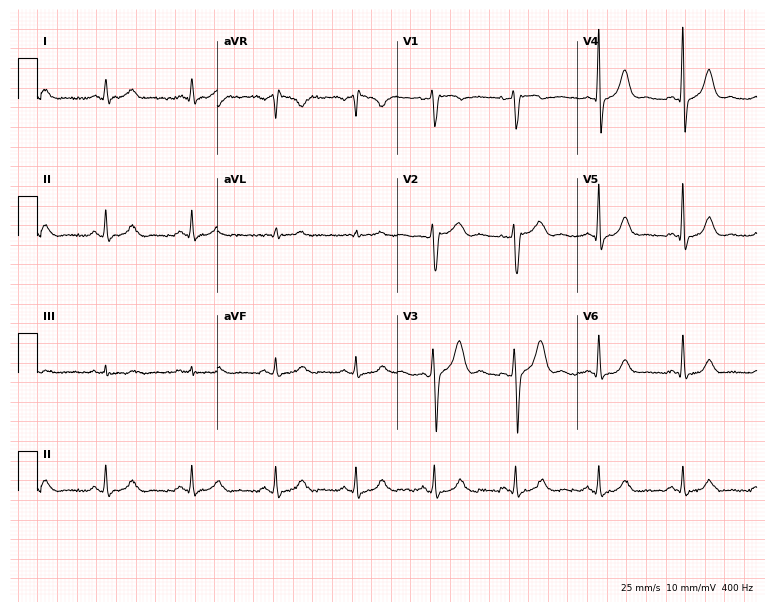
Standard 12-lead ECG recorded from a man, 55 years old. Read as a normal ECG.